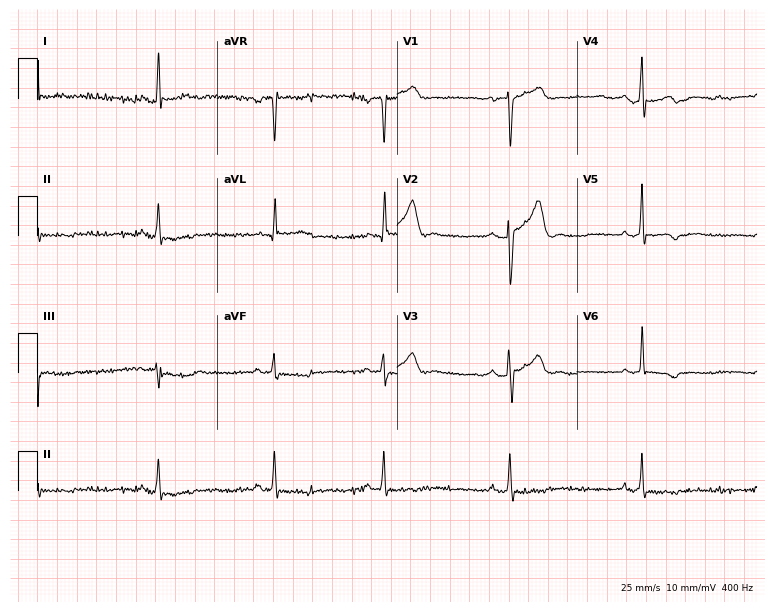
12-lead ECG from a 68-year-old male patient. No first-degree AV block, right bundle branch block, left bundle branch block, sinus bradycardia, atrial fibrillation or sinus tachycardia recorded for this tracing.